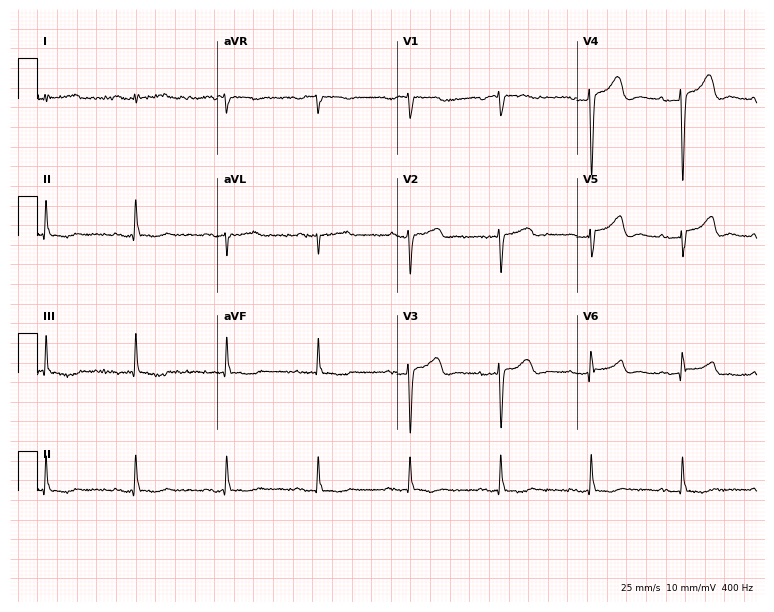
Resting 12-lead electrocardiogram (7.3-second recording at 400 Hz). Patient: a woman, 60 years old. The tracing shows first-degree AV block.